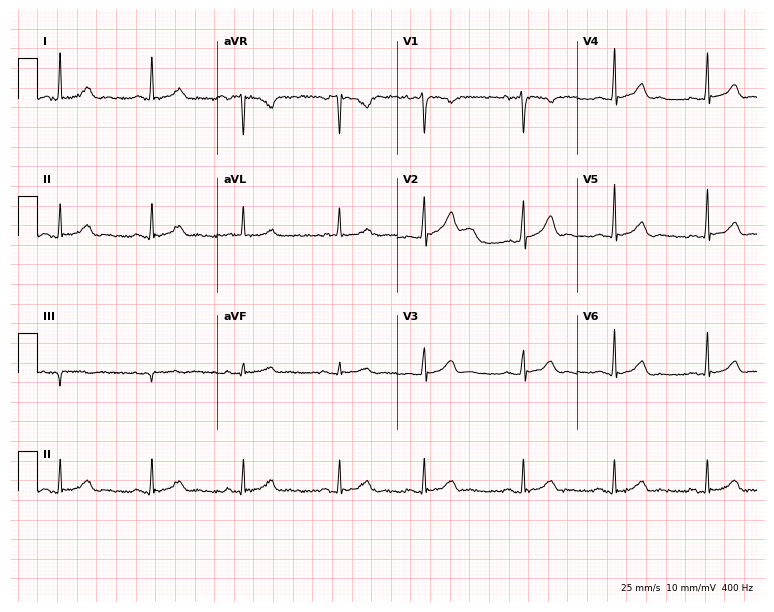
12-lead ECG from a female, 36 years old (7.3-second recording at 400 Hz). Recorded interpretation: within normal limits.